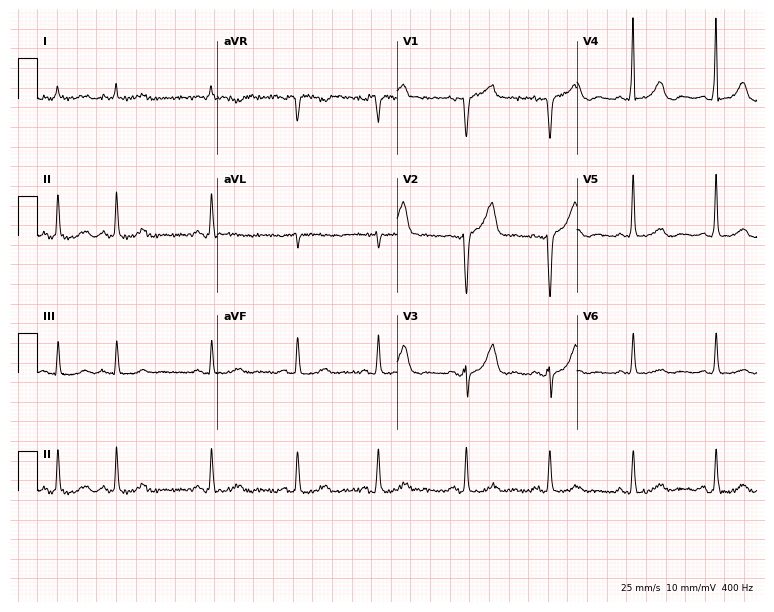
ECG — a 61-year-old male. Labelled as a normal ECG.